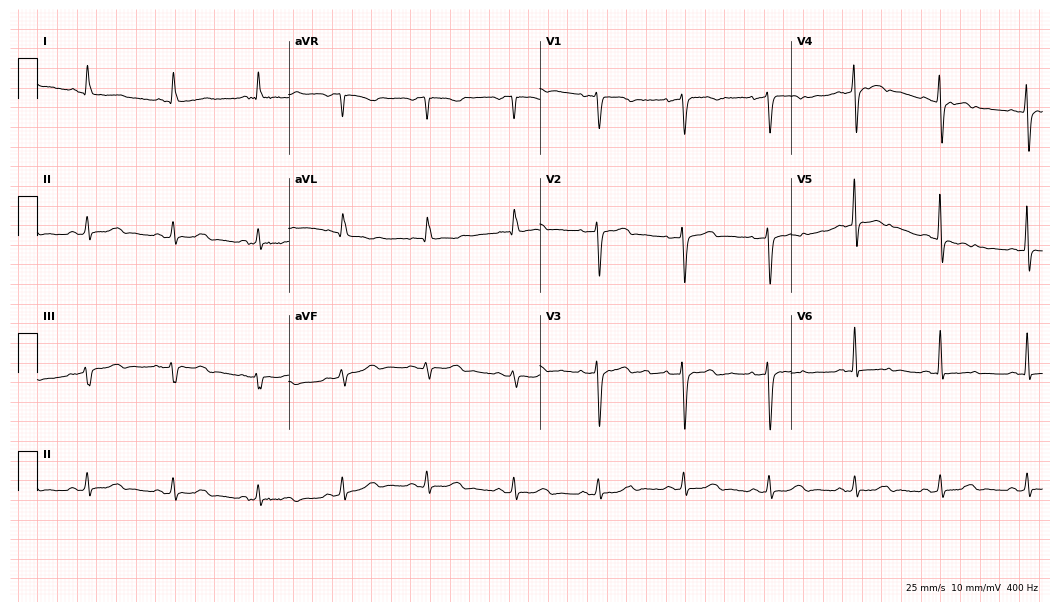
Standard 12-lead ECG recorded from a female, 66 years old (10.2-second recording at 400 Hz). None of these six findings is recorded: first-degree AV block, right bundle branch block, left bundle branch block, sinus bradycardia, atrial fibrillation, sinus tachycardia. Other findings, if any, are not listed.